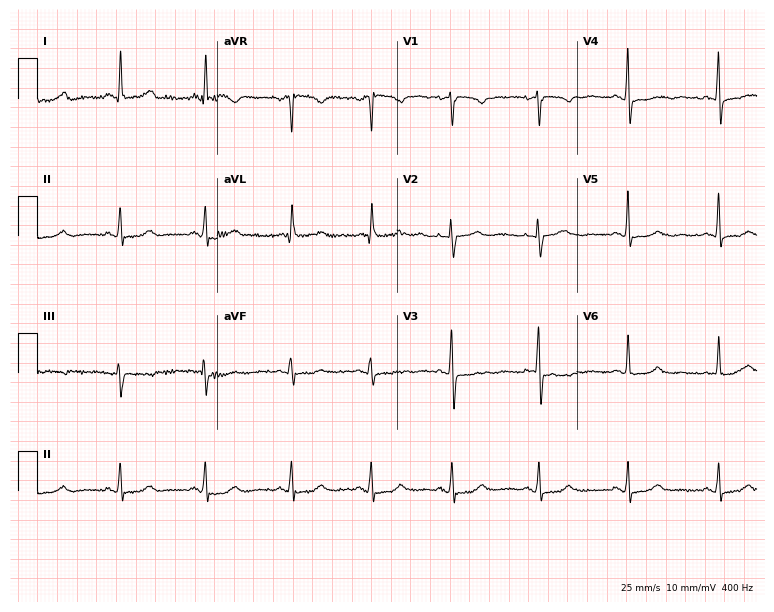
ECG (7.3-second recording at 400 Hz) — a woman, 50 years old. Screened for six findings — first-degree AV block, right bundle branch block, left bundle branch block, sinus bradycardia, atrial fibrillation, sinus tachycardia — none is recorded. Findings outside these six are not listed.